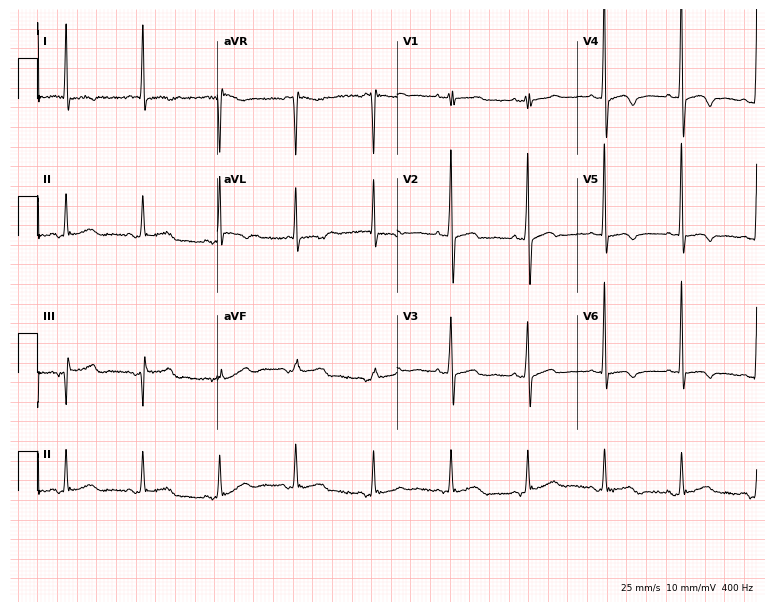
Electrocardiogram (7.3-second recording at 400 Hz), a 73-year-old female patient. Of the six screened findings (first-degree AV block, right bundle branch block, left bundle branch block, sinus bradycardia, atrial fibrillation, sinus tachycardia), none is recorded. Other findings, if any, are not listed.